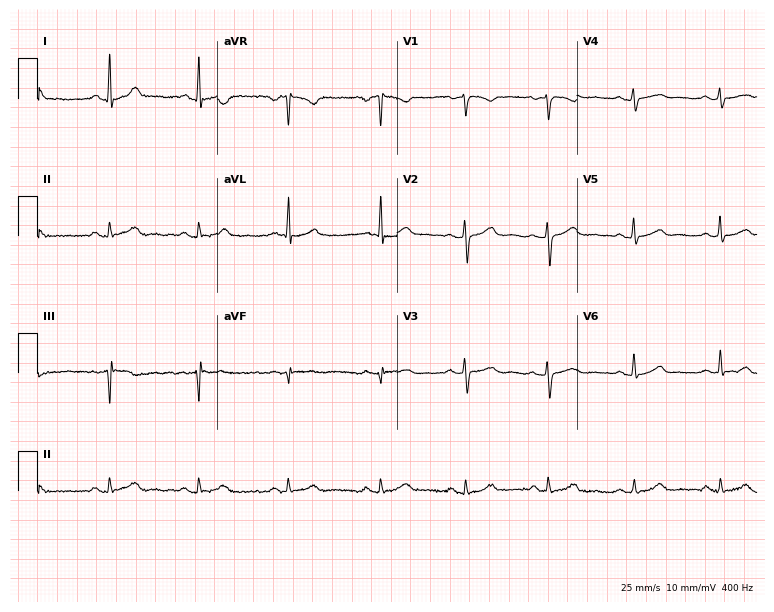
12-lead ECG from a female patient, 32 years old (7.3-second recording at 400 Hz). Recorded interpretation: within normal limits.